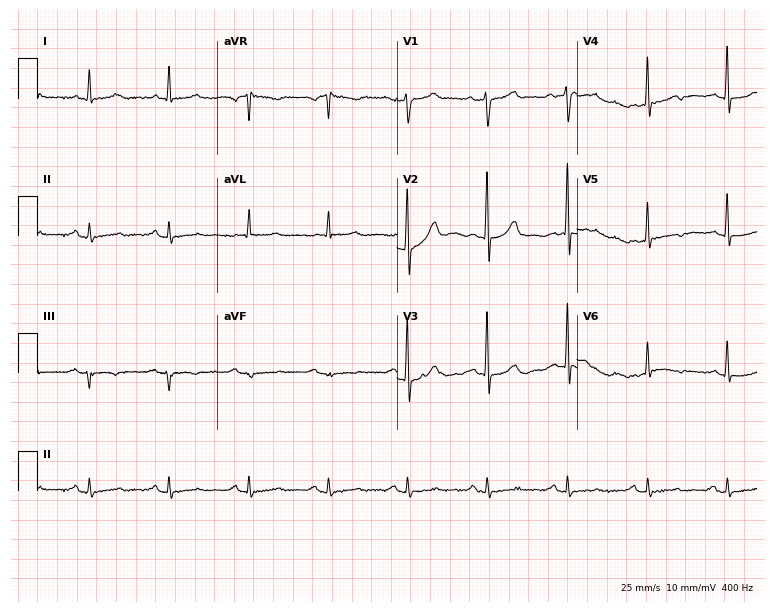
ECG (7.3-second recording at 400 Hz) — a male, 70 years old. Labelled as a normal ECG.